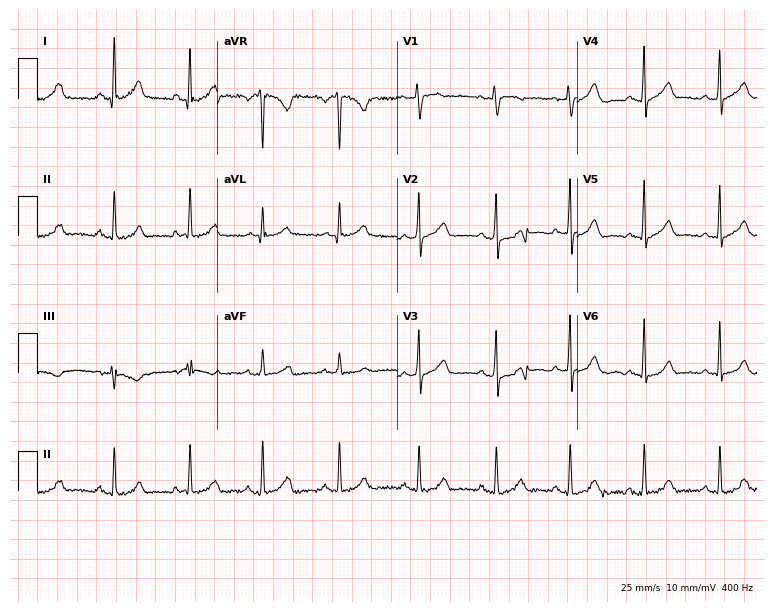
Resting 12-lead electrocardiogram. Patient: a 28-year-old male. Read as a normal ECG.